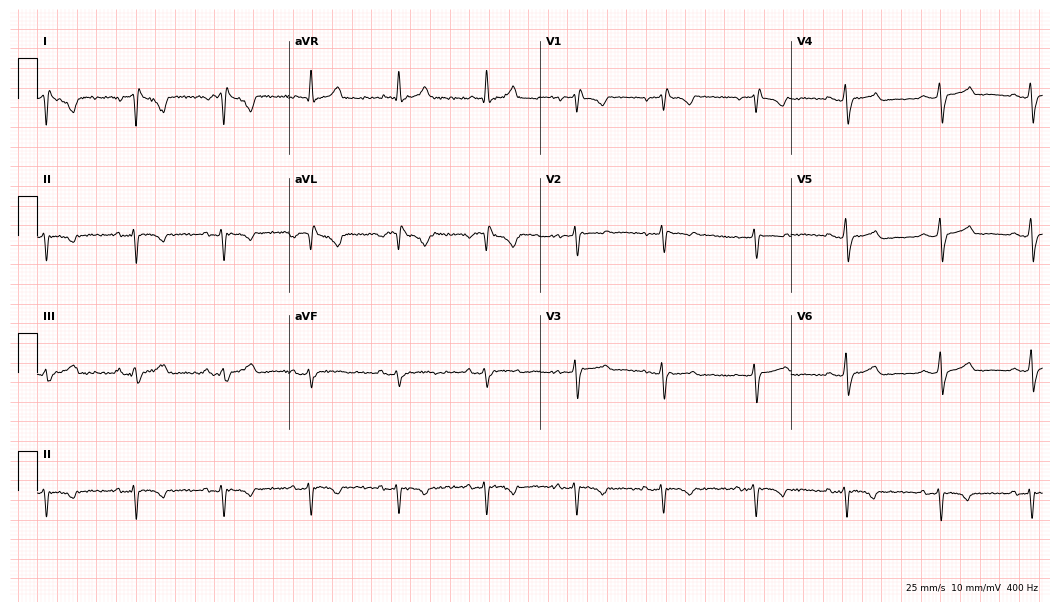
Electrocardiogram (10.2-second recording at 400 Hz), a female patient, 35 years old. Of the six screened findings (first-degree AV block, right bundle branch block, left bundle branch block, sinus bradycardia, atrial fibrillation, sinus tachycardia), none is recorded.